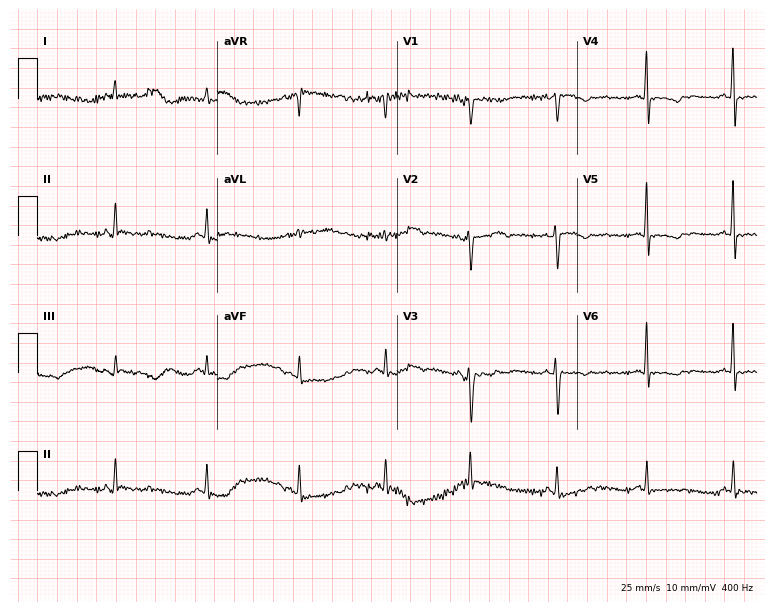
12-lead ECG (7.3-second recording at 400 Hz) from a 52-year-old female. Screened for six findings — first-degree AV block, right bundle branch block, left bundle branch block, sinus bradycardia, atrial fibrillation, sinus tachycardia — none is recorded.